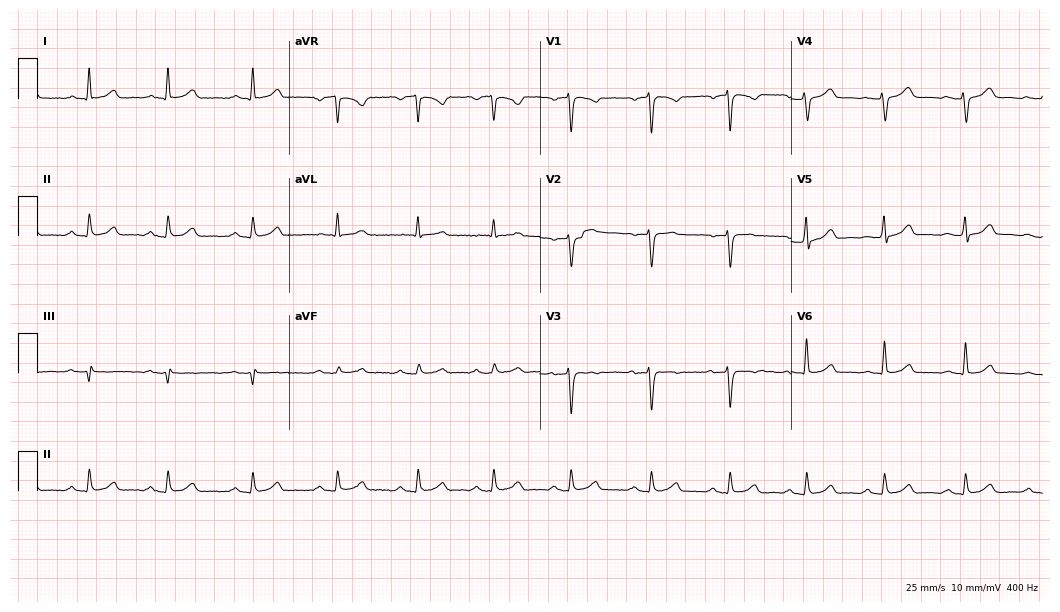
12-lead ECG from a woman, 42 years old (10.2-second recording at 400 Hz). No first-degree AV block, right bundle branch block (RBBB), left bundle branch block (LBBB), sinus bradycardia, atrial fibrillation (AF) or sinus tachycardia recorded for this tracing. Only these six findings were labelled.